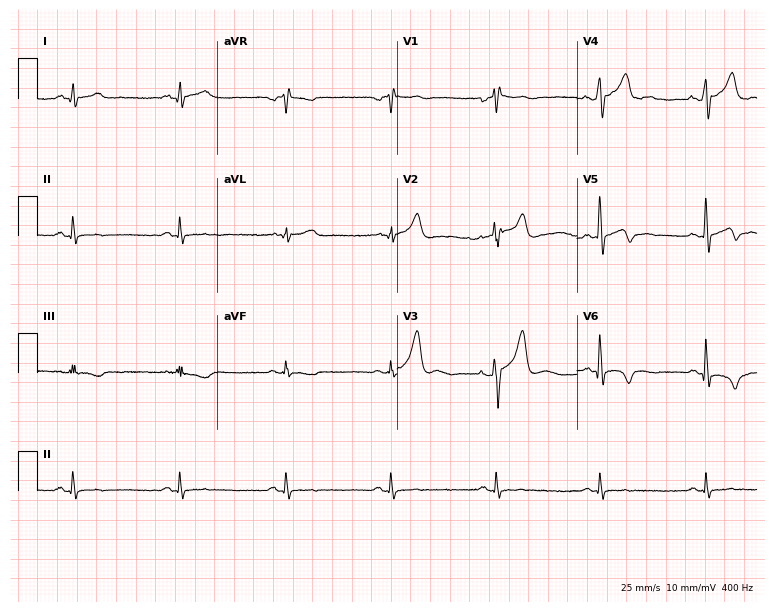
Resting 12-lead electrocardiogram (7.3-second recording at 400 Hz). Patient: a male, 52 years old. None of these six findings is recorded: first-degree AV block, right bundle branch block (RBBB), left bundle branch block (LBBB), sinus bradycardia, atrial fibrillation (AF), sinus tachycardia. Other findings, if any, are not listed.